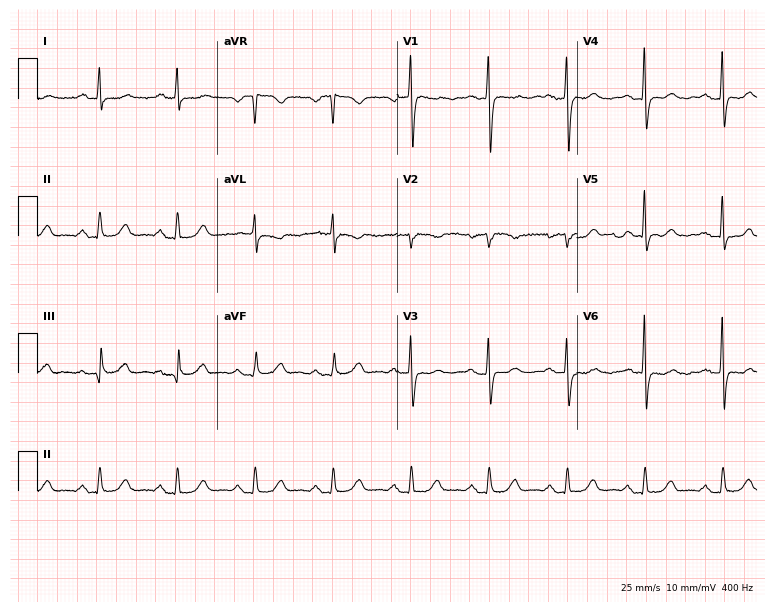
Standard 12-lead ECG recorded from a 70-year-old female patient. Read as a normal ECG.